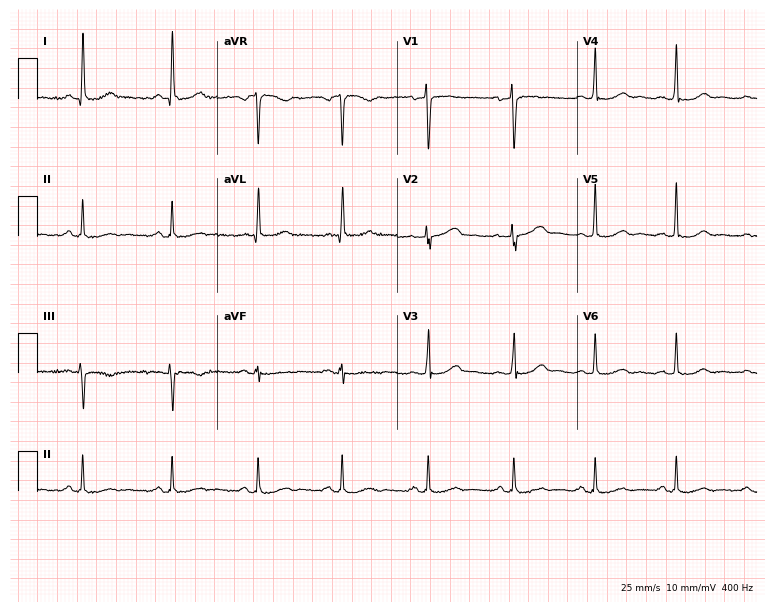
Standard 12-lead ECG recorded from a female, 47 years old (7.3-second recording at 400 Hz). None of these six findings is recorded: first-degree AV block, right bundle branch block (RBBB), left bundle branch block (LBBB), sinus bradycardia, atrial fibrillation (AF), sinus tachycardia.